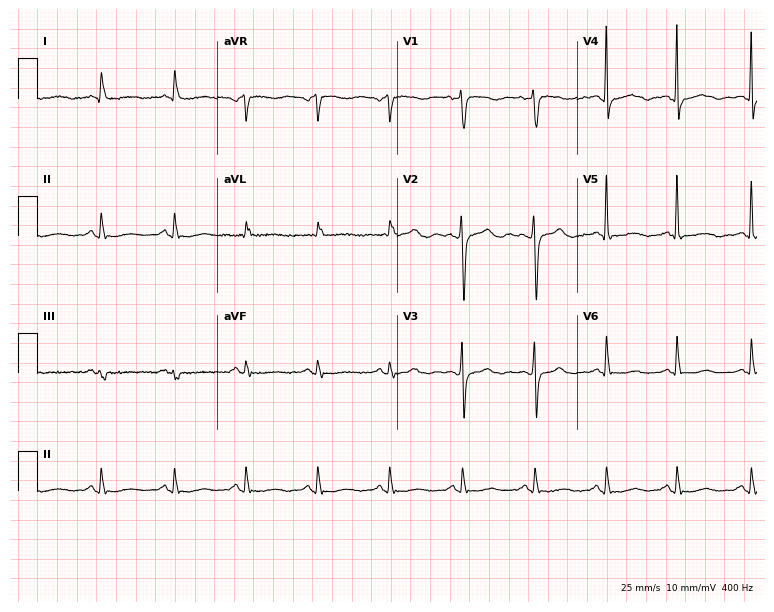
Electrocardiogram (7.3-second recording at 400 Hz), a male patient, 49 years old. Overall reading on record: normal ECG.